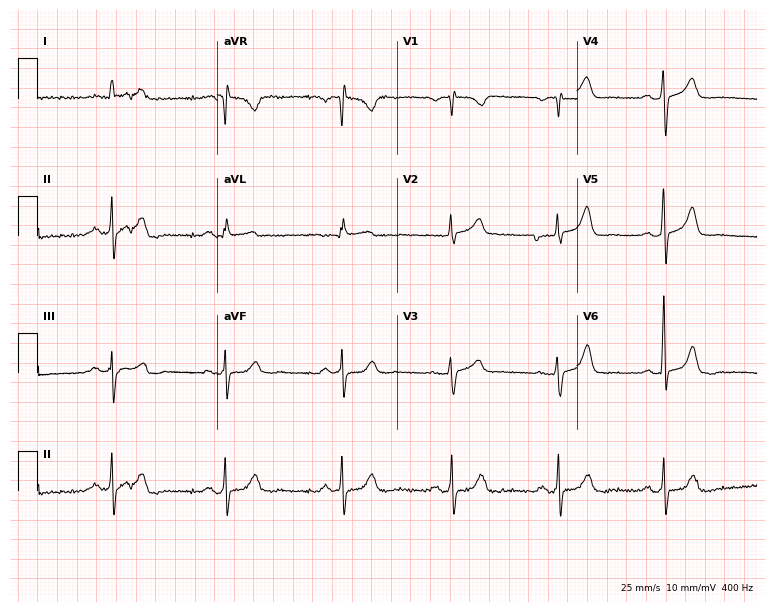
12-lead ECG (7.3-second recording at 400 Hz) from a female, 55 years old. Labelled as a normal ECG.